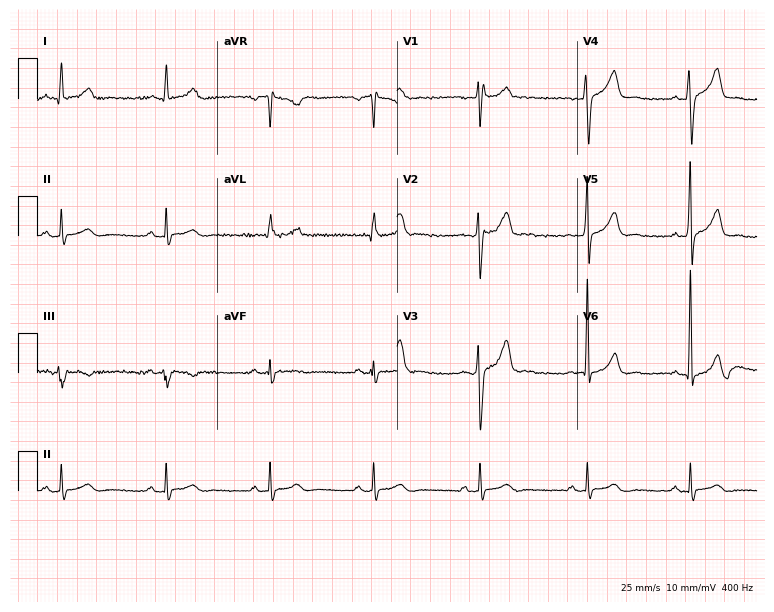
Electrocardiogram (7.3-second recording at 400 Hz), a male patient, 33 years old. Of the six screened findings (first-degree AV block, right bundle branch block, left bundle branch block, sinus bradycardia, atrial fibrillation, sinus tachycardia), none is recorded.